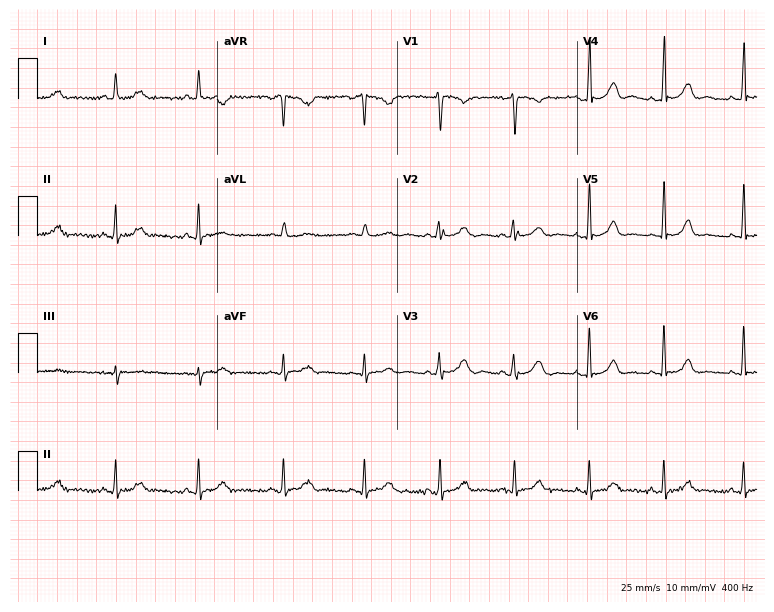
12-lead ECG from a 25-year-old female. Screened for six findings — first-degree AV block, right bundle branch block (RBBB), left bundle branch block (LBBB), sinus bradycardia, atrial fibrillation (AF), sinus tachycardia — none is recorded. Only these six findings were labelled.